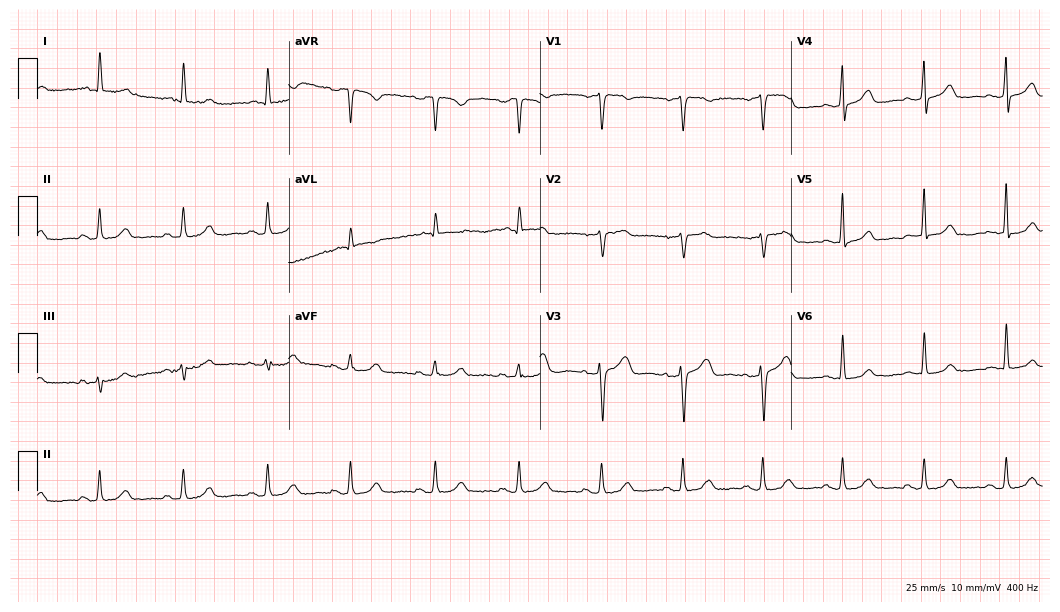
Standard 12-lead ECG recorded from a 63-year-old woman. Read as a normal ECG.